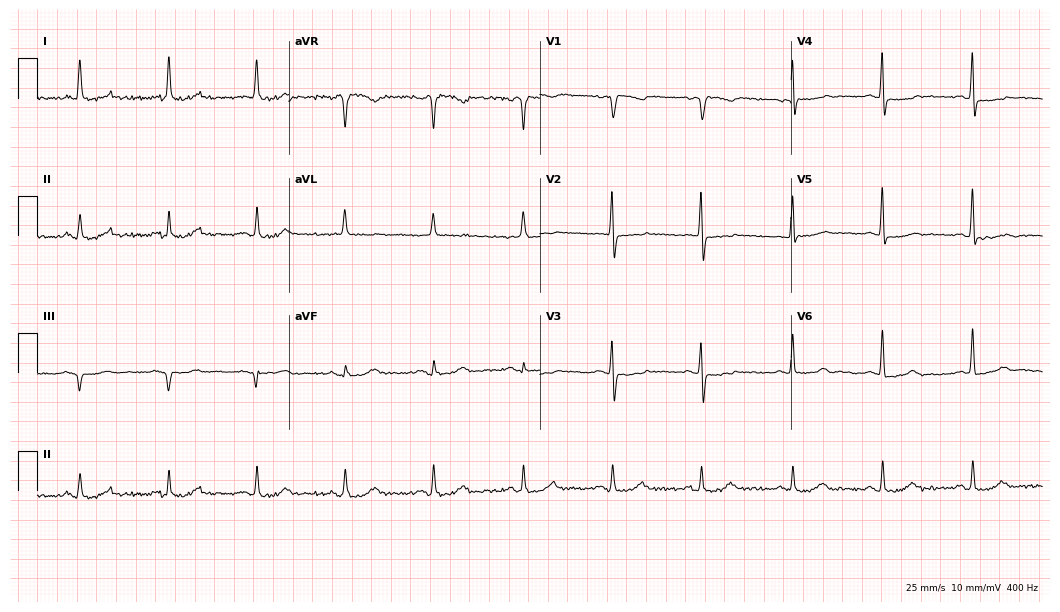
12-lead ECG from a female, 64 years old (10.2-second recording at 400 Hz). Recorded interpretation: within normal limits.